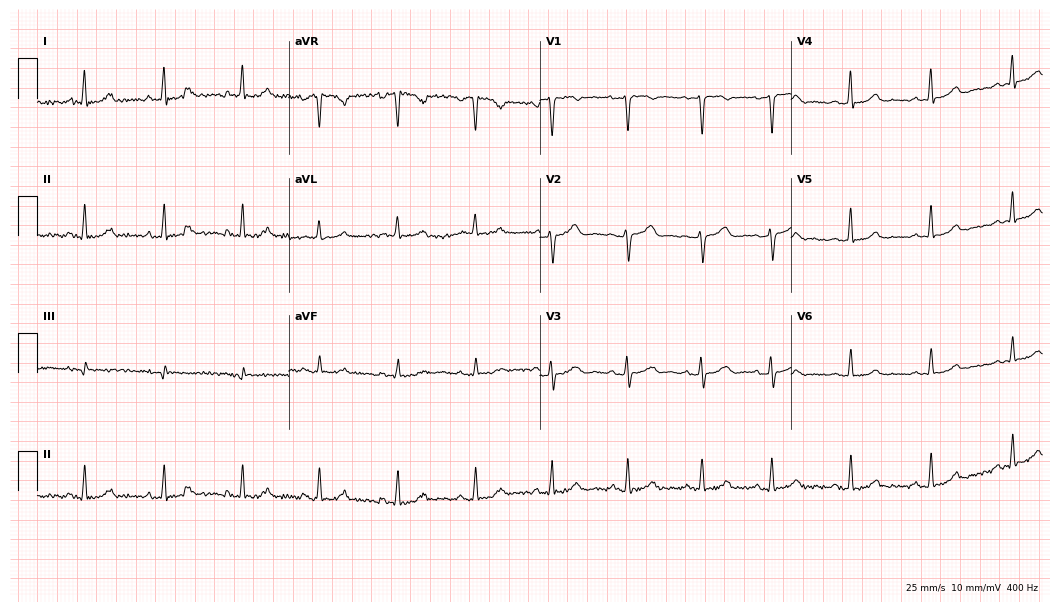
Electrocardiogram, a female patient, 41 years old. Of the six screened findings (first-degree AV block, right bundle branch block, left bundle branch block, sinus bradycardia, atrial fibrillation, sinus tachycardia), none is recorded.